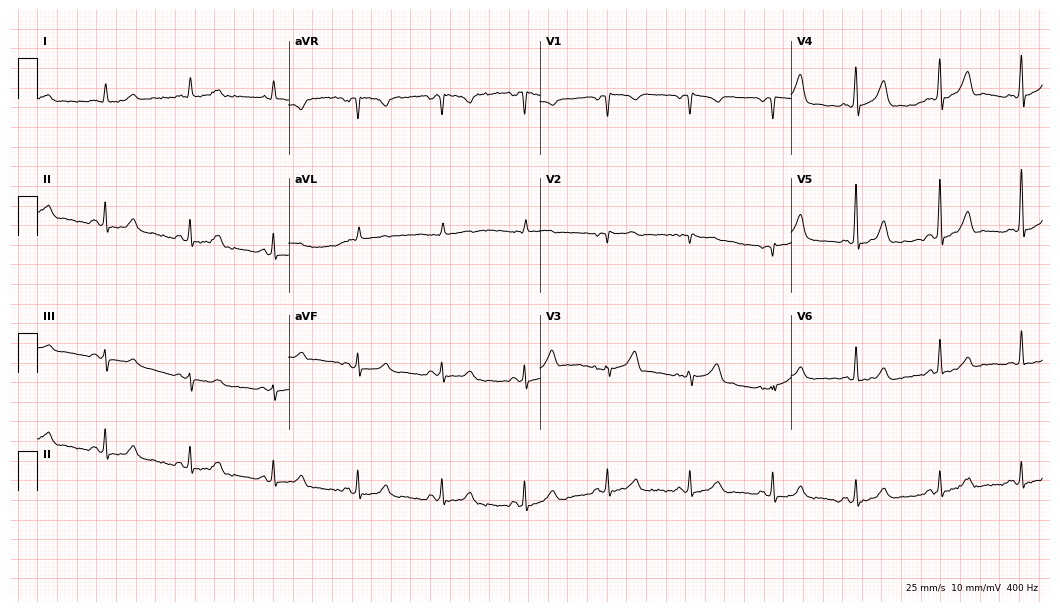
12-lead ECG from a 60-year-old male patient. Recorded interpretation: within normal limits.